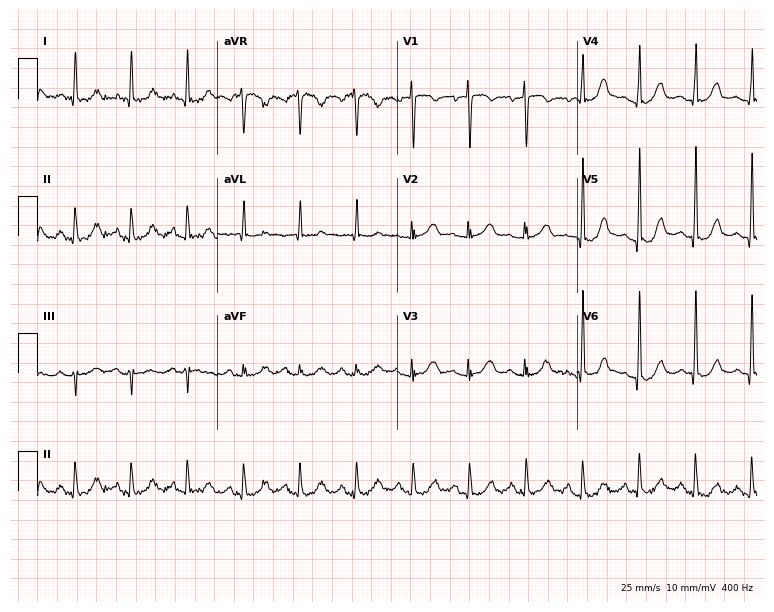
Standard 12-lead ECG recorded from a female patient, 68 years old. The tracing shows sinus tachycardia (a sinus rate of 100 beats per minute or more).